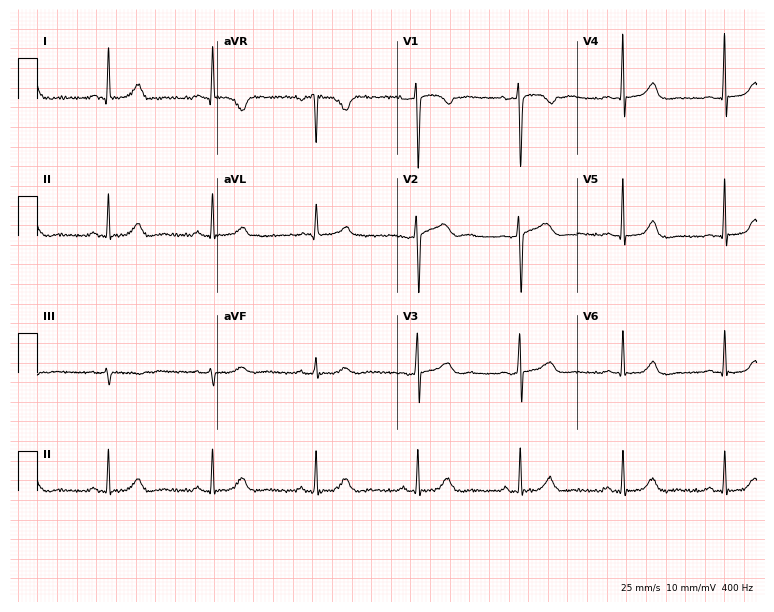
12-lead ECG (7.3-second recording at 400 Hz) from a woman, 42 years old. Labelled as a normal ECG.